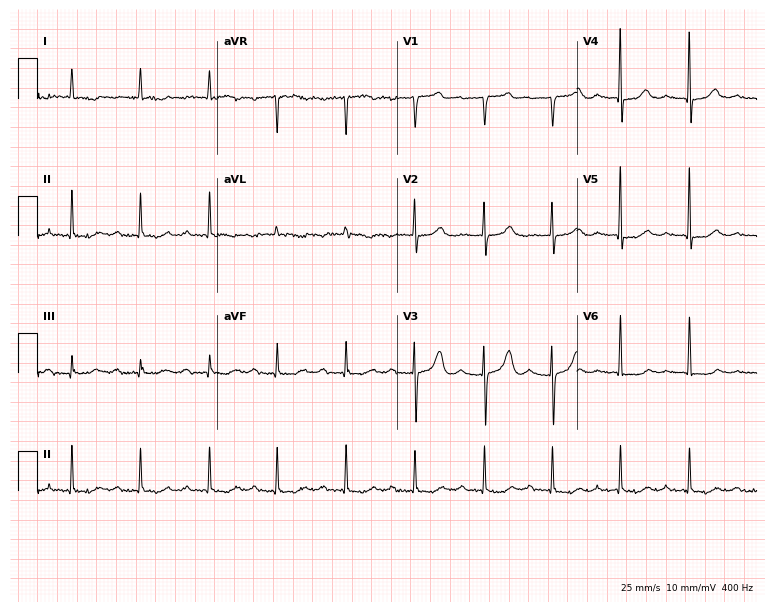
ECG — a female patient, 74 years old. Screened for six findings — first-degree AV block, right bundle branch block, left bundle branch block, sinus bradycardia, atrial fibrillation, sinus tachycardia — none is recorded.